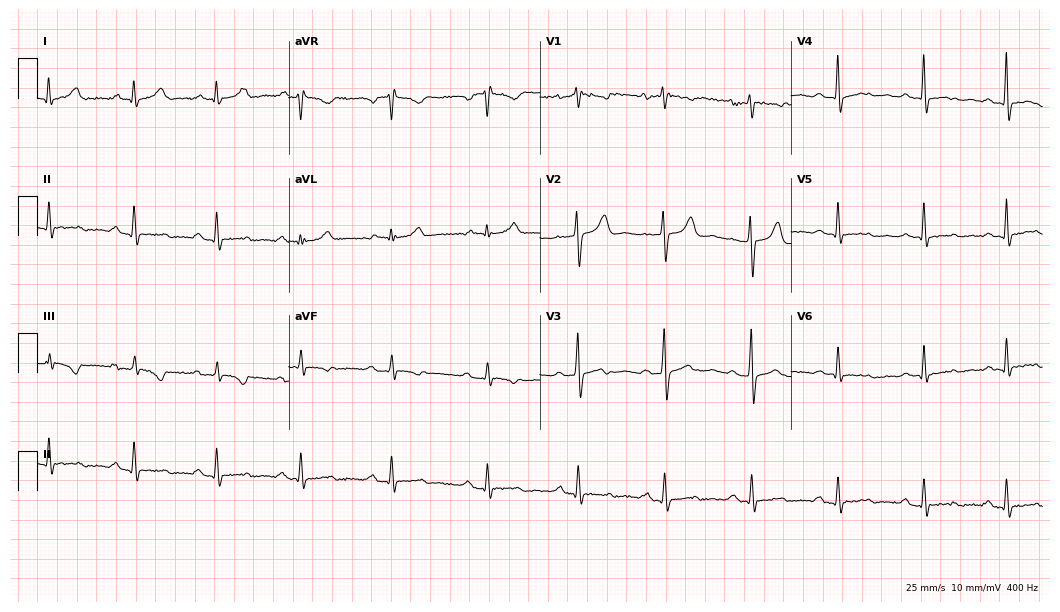
Electrocardiogram (10.2-second recording at 400 Hz), a male, 32 years old. Overall reading on record: normal ECG.